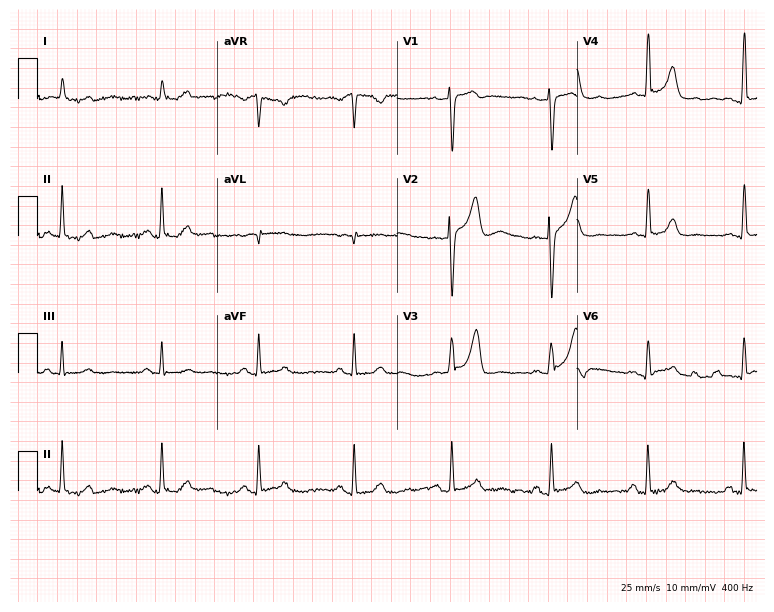
12-lead ECG from a 62-year-old male. No first-degree AV block, right bundle branch block, left bundle branch block, sinus bradycardia, atrial fibrillation or sinus tachycardia recorded for this tracing. Findings outside these six are not listed.